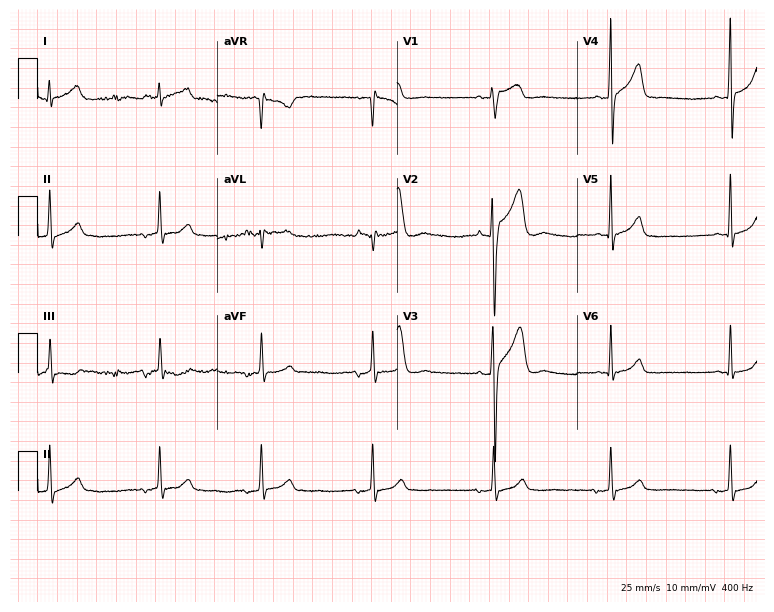
12-lead ECG from a man, 22 years old (7.3-second recording at 400 Hz). No first-degree AV block, right bundle branch block (RBBB), left bundle branch block (LBBB), sinus bradycardia, atrial fibrillation (AF) or sinus tachycardia recorded for this tracing. Findings outside these six are not listed.